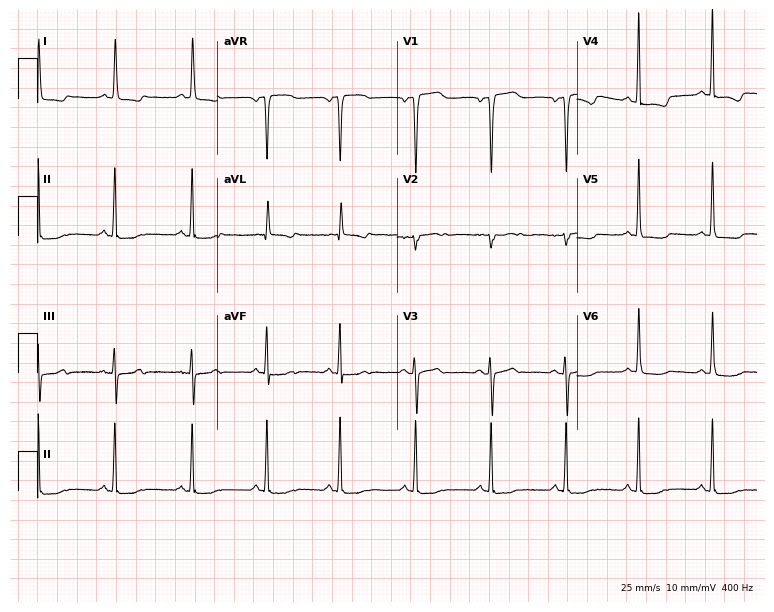
12-lead ECG from a female patient, 77 years old (7.3-second recording at 400 Hz). No first-degree AV block, right bundle branch block (RBBB), left bundle branch block (LBBB), sinus bradycardia, atrial fibrillation (AF) or sinus tachycardia recorded for this tracing.